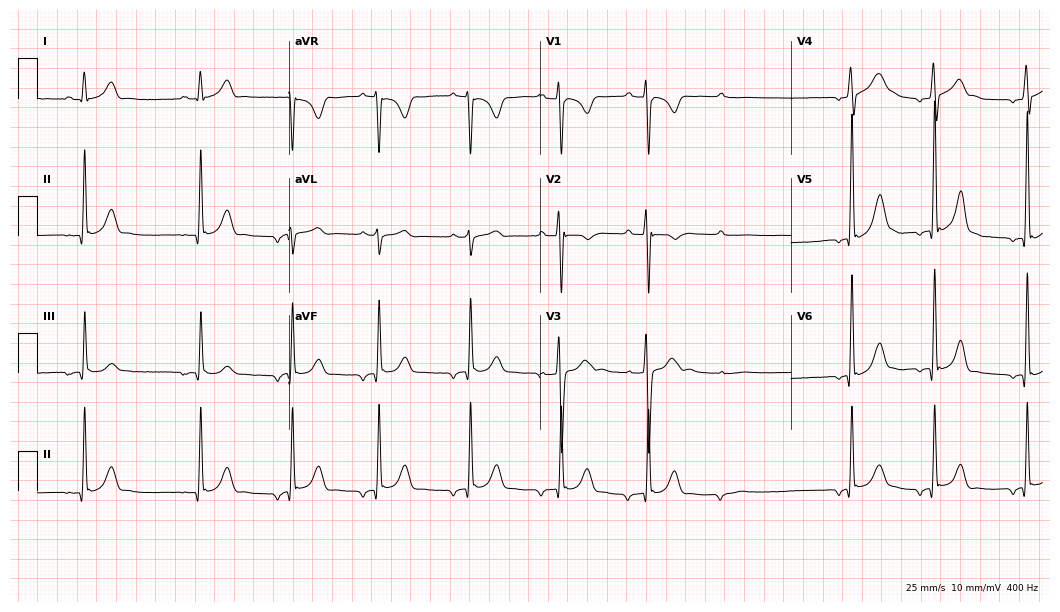
Standard 12-lead ECG recorded from a man, 17 years old (10.2-second recording at 400 Hz). None of these six findings is recorded: first-degree AV block, right bundle branch block (RBBB), left bundle branch block (LBBB), sinus bradycardia, atrial fibrillation (AF), sinus tachycardia.